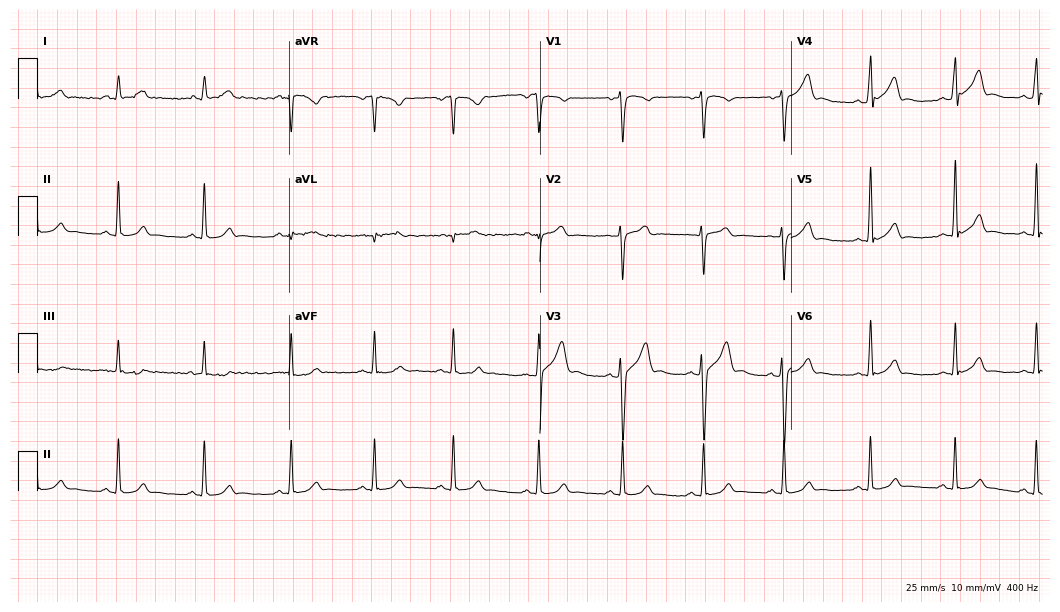
ECG (10.2-second recording at 400 Hz) — a 21-year-old man. Labelled as a normal ECG.